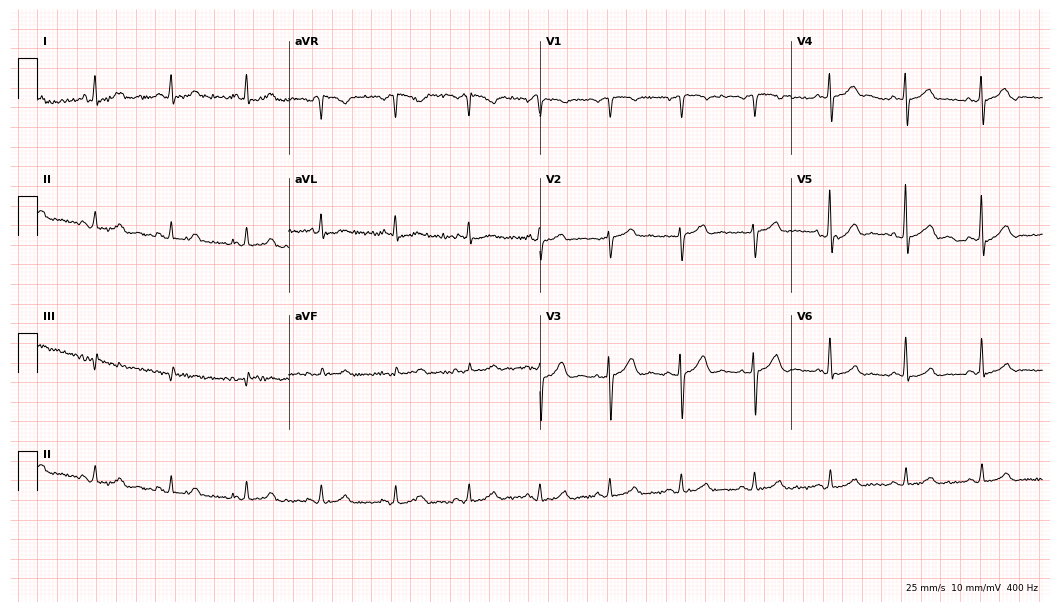
ECG (10.2-second recording at 400 Hz) — a male, 46 years old. Labelled as a normal ECG.